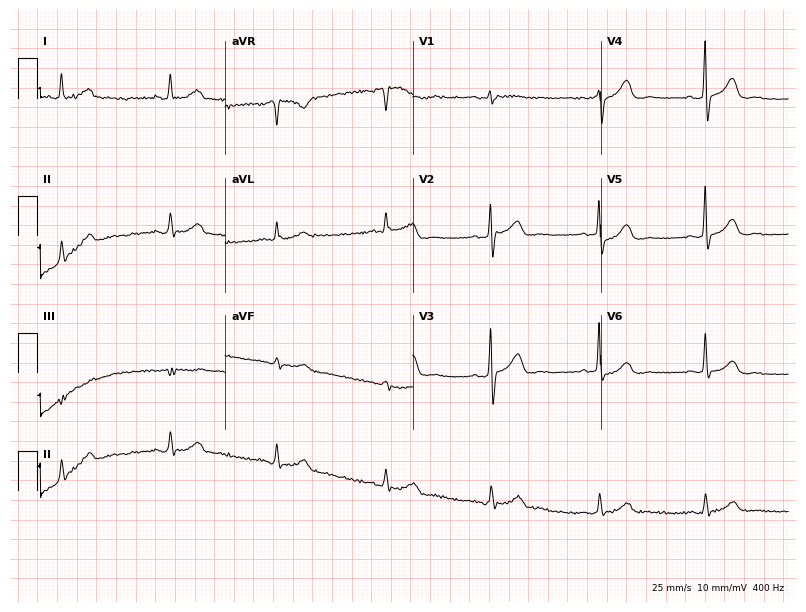
Resting 12-lead electrocardiogram. Patient: a 66-year-old female. Read as a normal ECG.